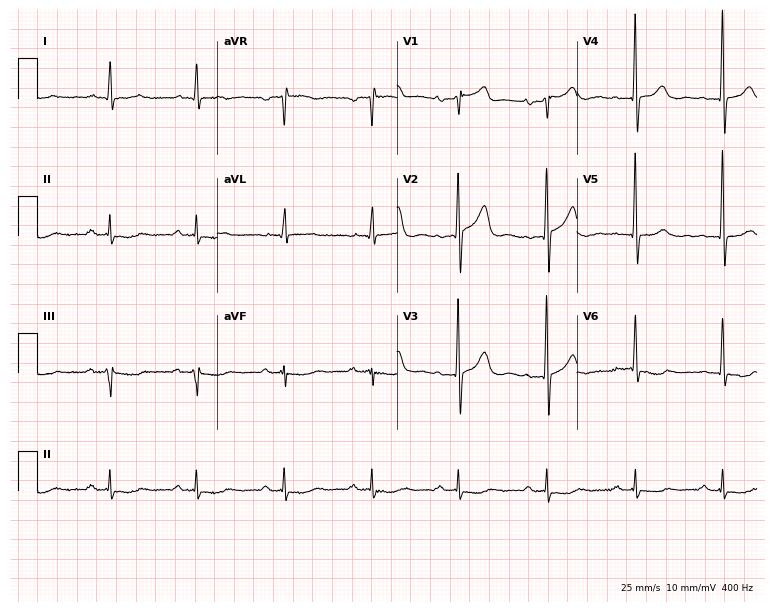
ECG — a 72-year-old male. Labelled as a normal ECG.